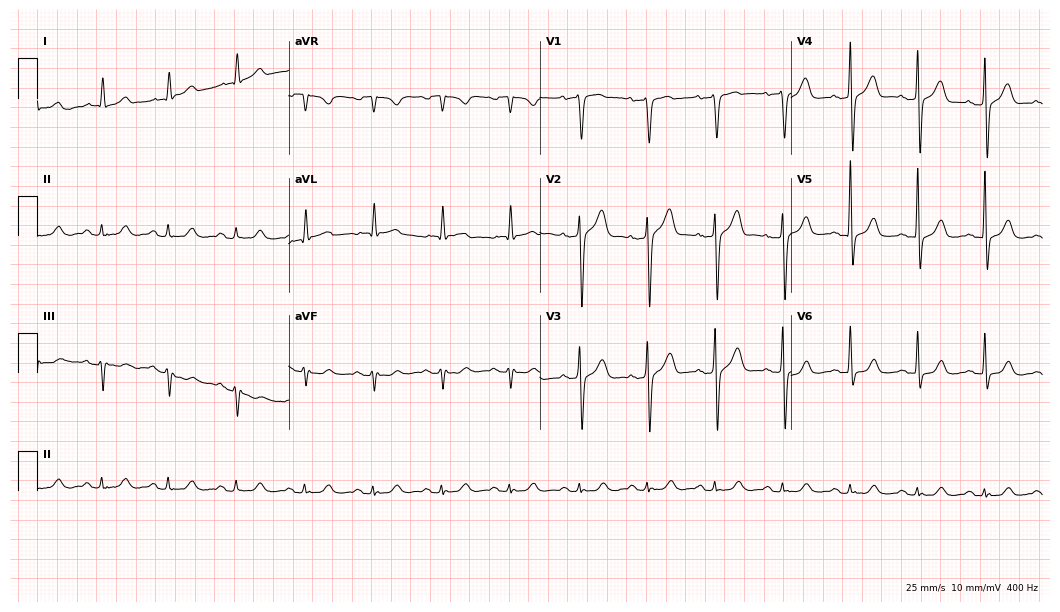
12-lead ECG from a 78-year-old male patient. Labelled as a normal ECG.